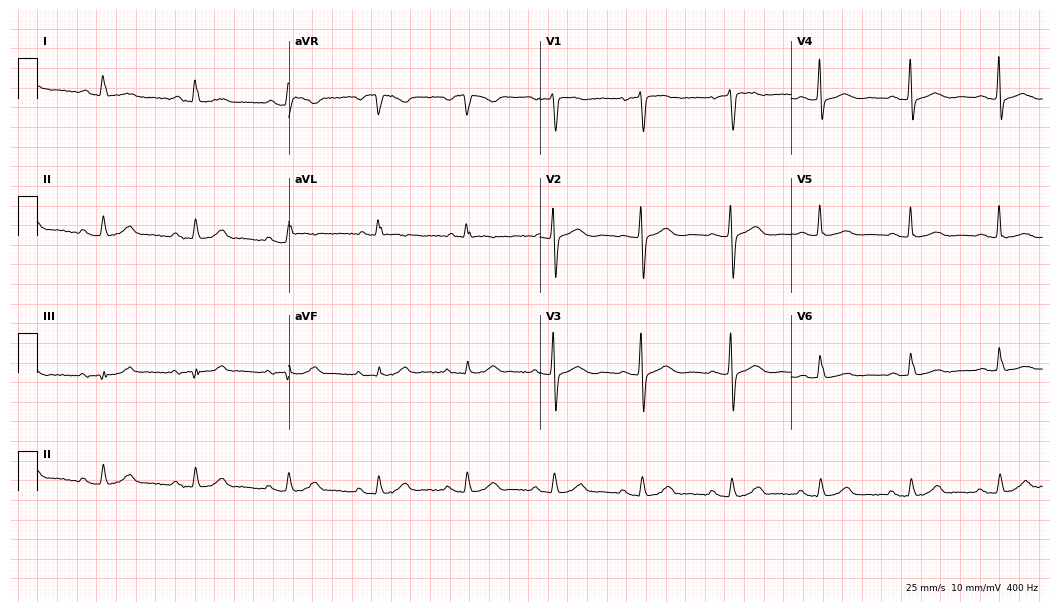
Electrocardiogram (10.2-second recording at 400 Hz), a 72-year-old woman. Of the six screened findings (first-degree AV block, right bundle branch block, left bundle branch block, sinus bradycardia, atrial fibrillation, sinus tachycardia), none is recorded.